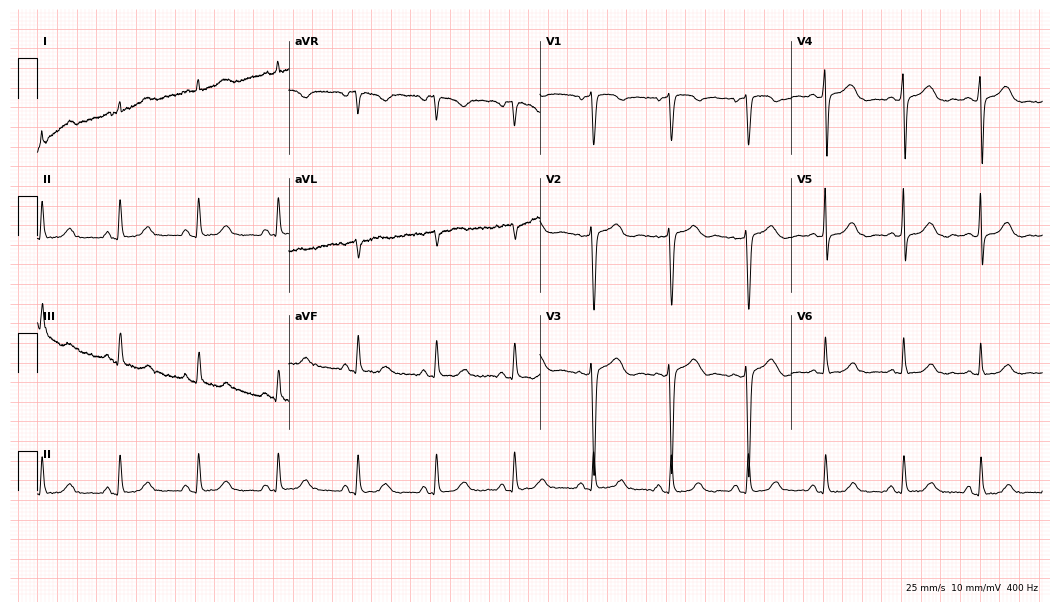
Standard 12-lead ECG recorded from a female patient, 44 years old. None of these six findings is recorded: first-degree AV block, right bundle branch block, left bundle branch block, sinus bradycardia, atrial fibrillation, sinus tachycardia. Findings outside these six are not listed.